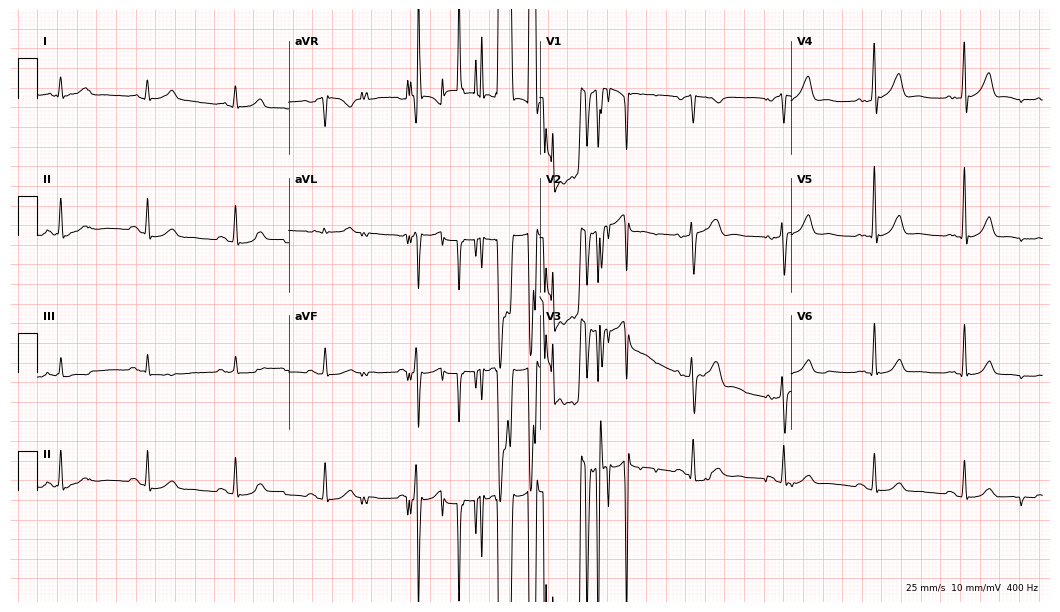
Standard 12-lead ECG recorded from a 58-year-old male (10.2-second recording at 400 Hz). None of these six findings is recorded: first-degree AV block, right bundle branch block, left bundle branch block, sinus bradycardia, atrial fibrillation, sinus tachycardia. Other findings, if any, are not listed.